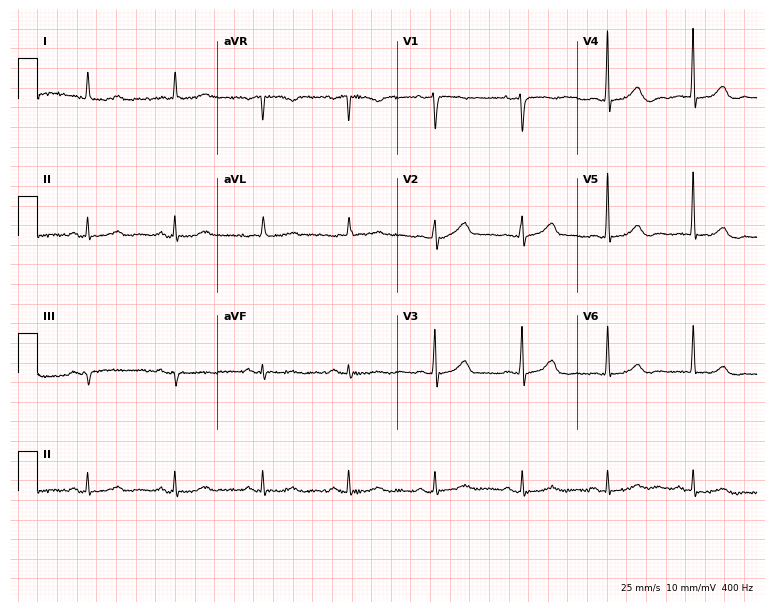
Standard 12-lead ECG recorded from an 87-year-old female patient (7.3-second recording at 400 Hz). Read as a normal ECG.